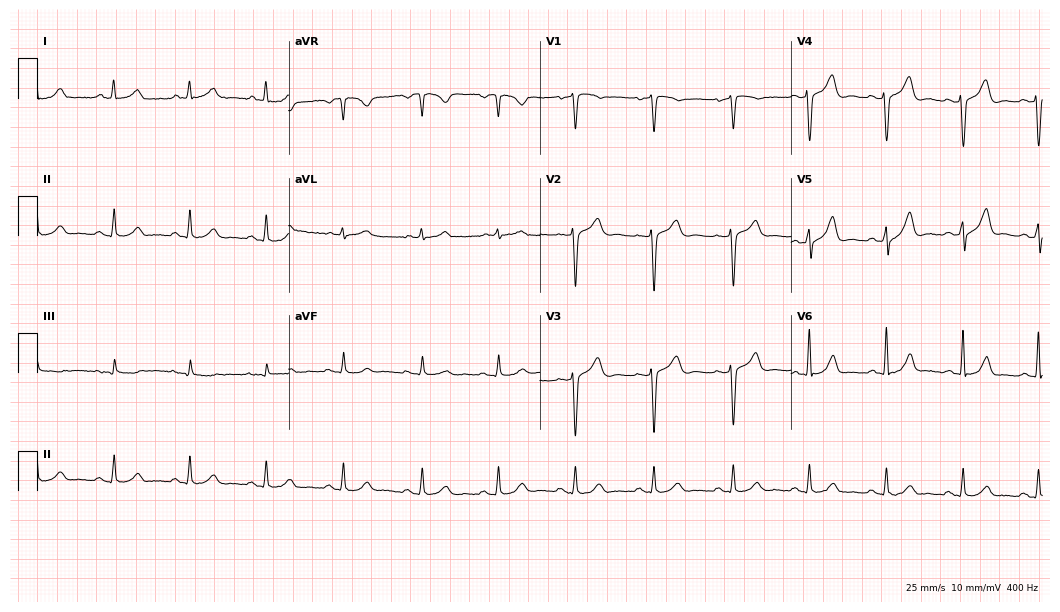
12-lead ECG (10.2-second recording at 400 Hz) from a male patient, 67 years old. Labelled as a normal ECG.